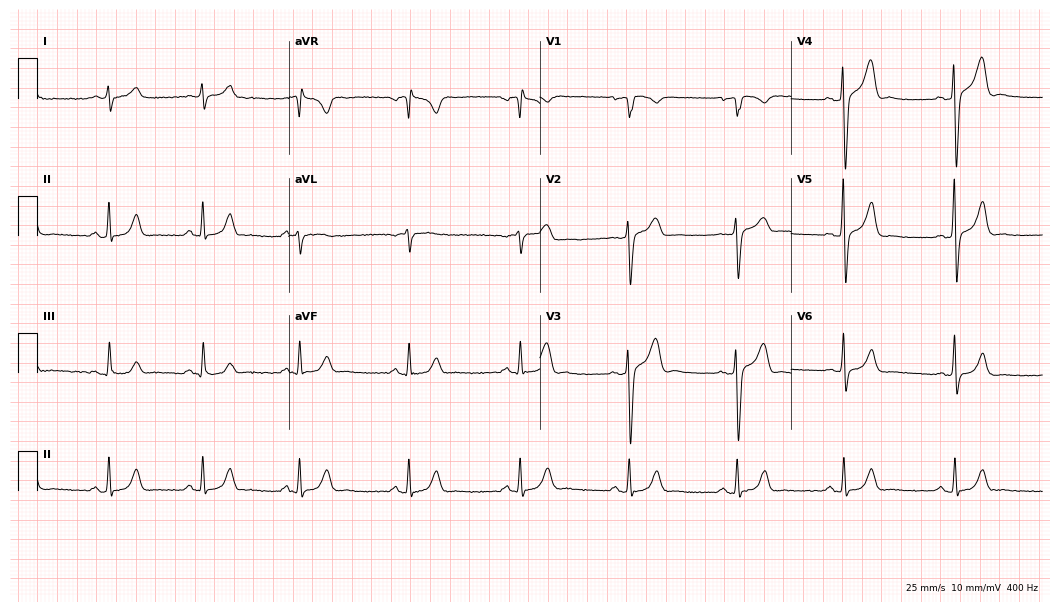
Electrocardiogram (10.2-second recording at 400 Hz), a 40-year-old male. Overall reading on record: normal ECG.